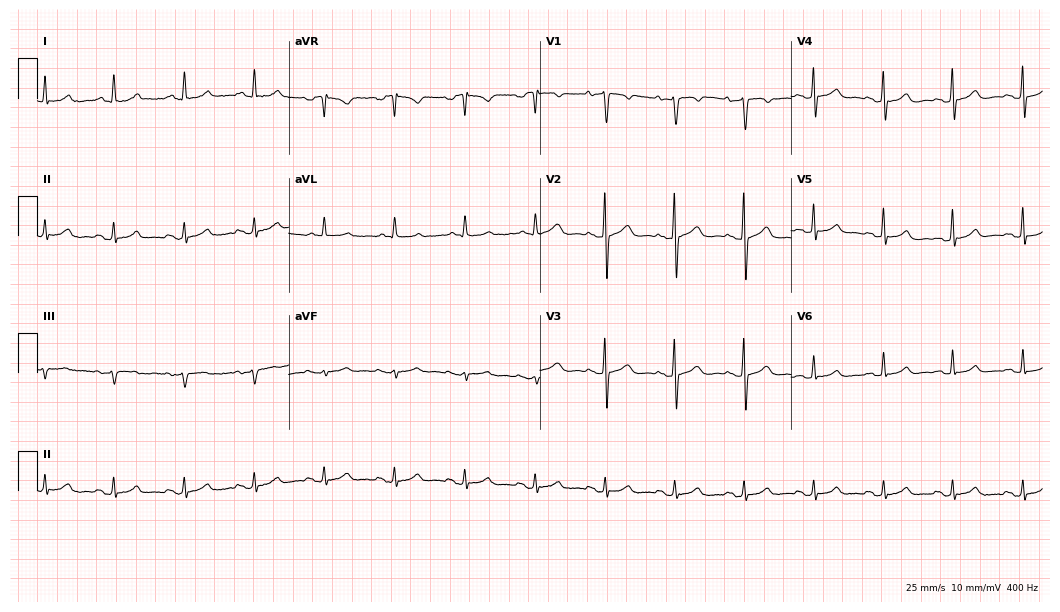
Electrocardiogram (10.2-second recording at 400 Hz), a 66-year-old female. Overall reading on record: normal ECG.